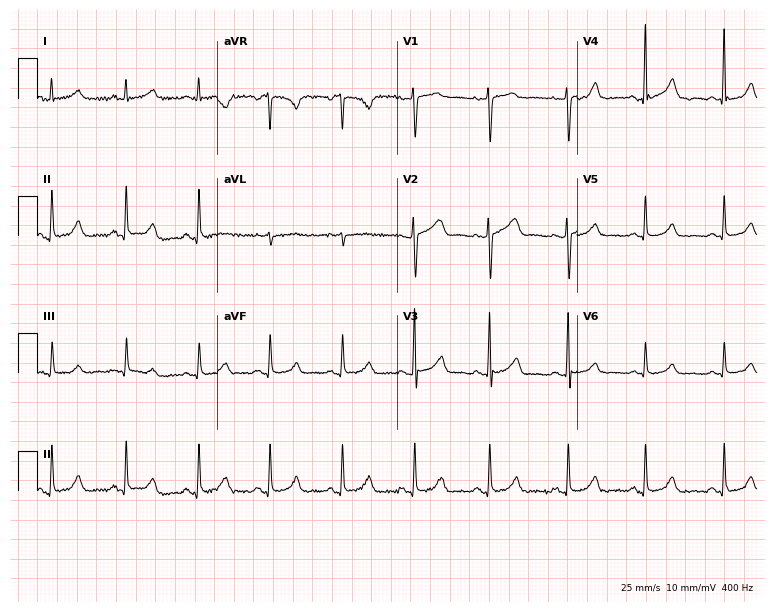
Standard 12-lead ECG recorded from a female, 59 years old. Read as a normal ECG.